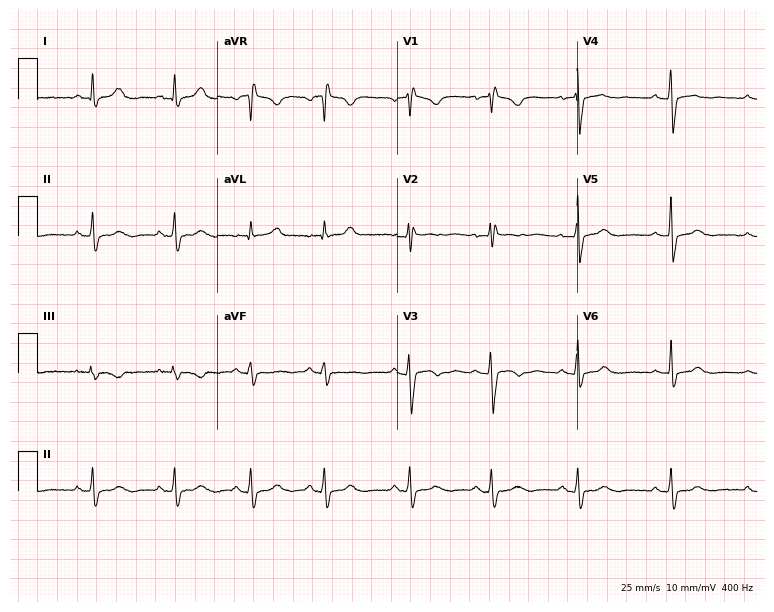
12-lead ECG from a female, 23 years old (7.3-second recording at 400 Hz). No first-degree AV block, right bundle branch block, left bundle branch block, sinus bradycardia, atrial fibrillation or sinus tachycardia recorded for this tracing.